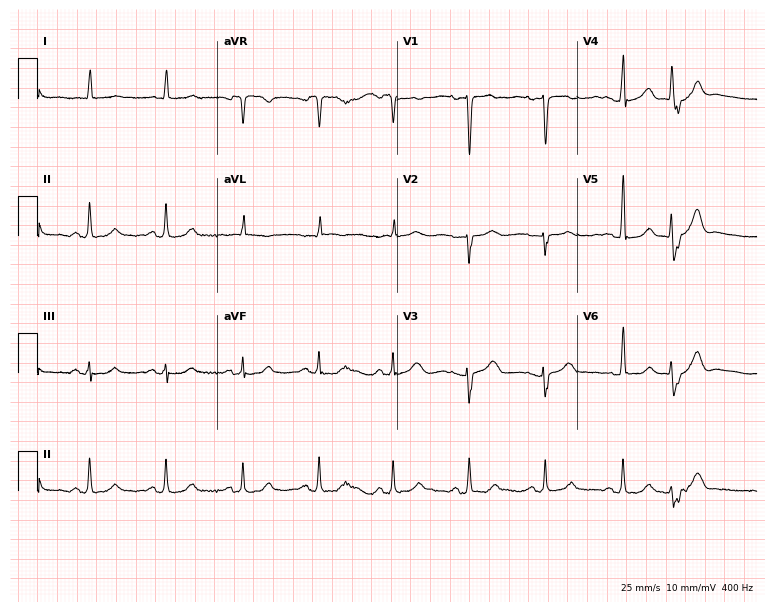
12-lead ECG from a female, 84 years old. Labelled as a normal ECG.